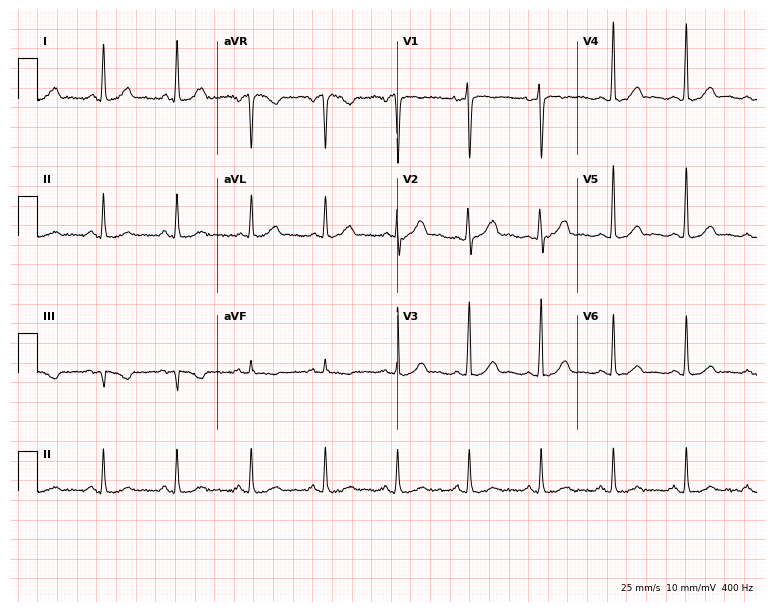
Standard 12-lead ECG recorded from a 48-year-old female patient. Read as a normal ECG.